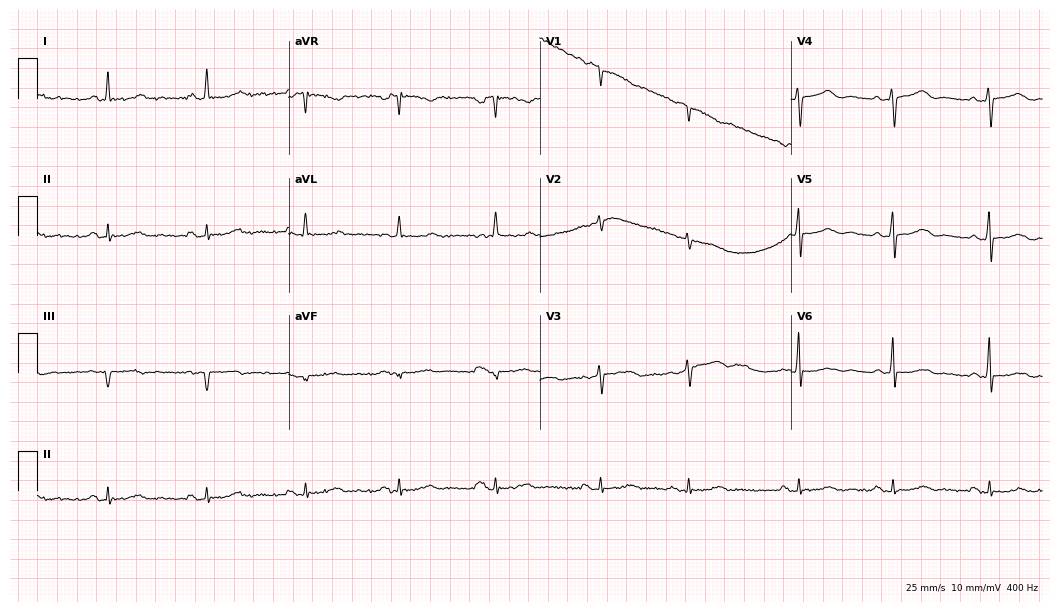
Standard 12-lead ECG recorded from a 63-year-old female (10.2-second recording at 400 Hz). None of these six findings is recorded: first-degree AV block, right bundle branch block, left bundle branch block, sinus bradycardia, atrial fibrillation, sinus tachycardia. Only these six findings were labelled.